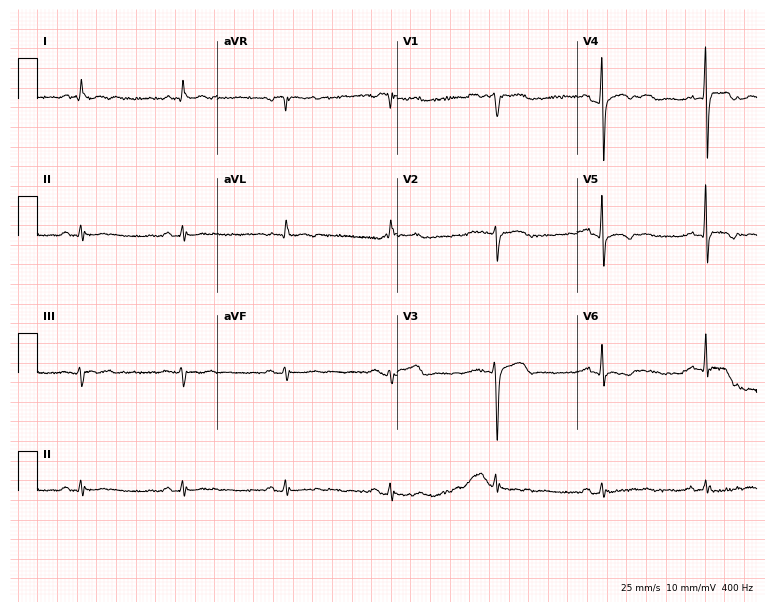
Standard 12-lead ECG recorded from a male, 83 years old (7.3-second recording at 400 Hz). None of these six findings is recorded: first-degree AV block, right bundle branch block (RBBB), left bundle branch block (LBBB), sinus bradycardia, atrial fibrillation (AF), sinus tachycardia. Other findings, if any, are not listed.